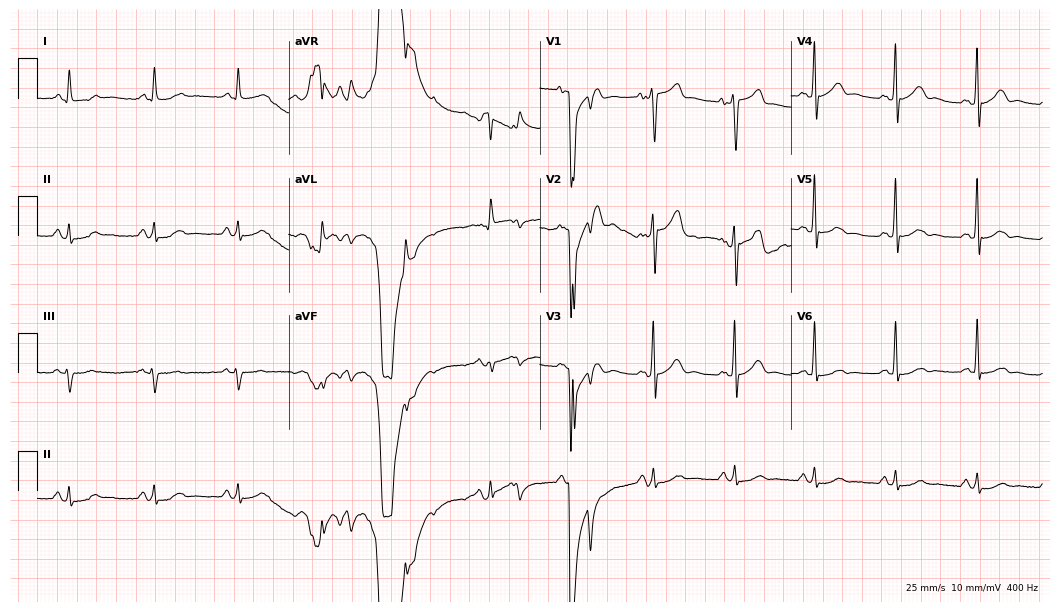
Standard 12-lead ECG recorded from a male patient, 66 years old (10.2-second recording at 400 Hz). None of these six findings is recorded: first-degree AV block, right bundle branch block, left bundle branch block, sinus bradycardia, atrial fibrillation, sinus tachycardia.